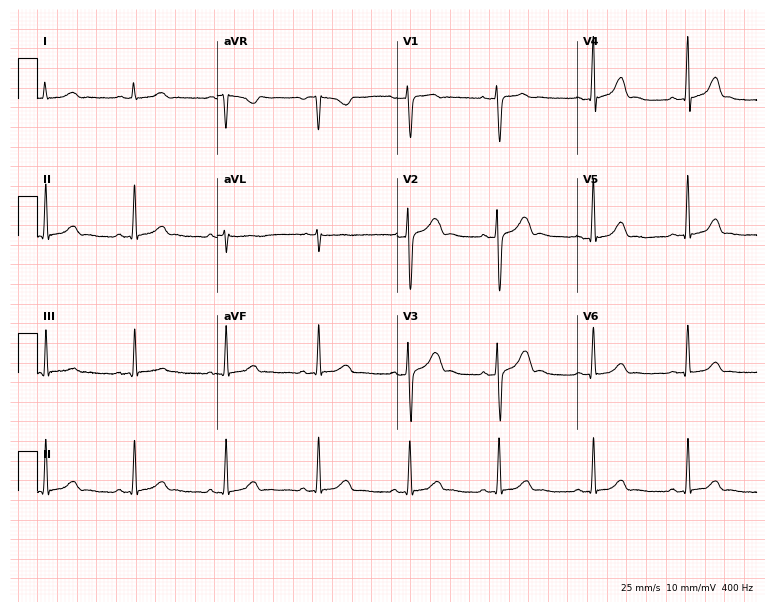
12-lead ECG from a 30-year-old female patient (7.3-second recording at 400 Hz). Recorded interpretation: within normal limits.